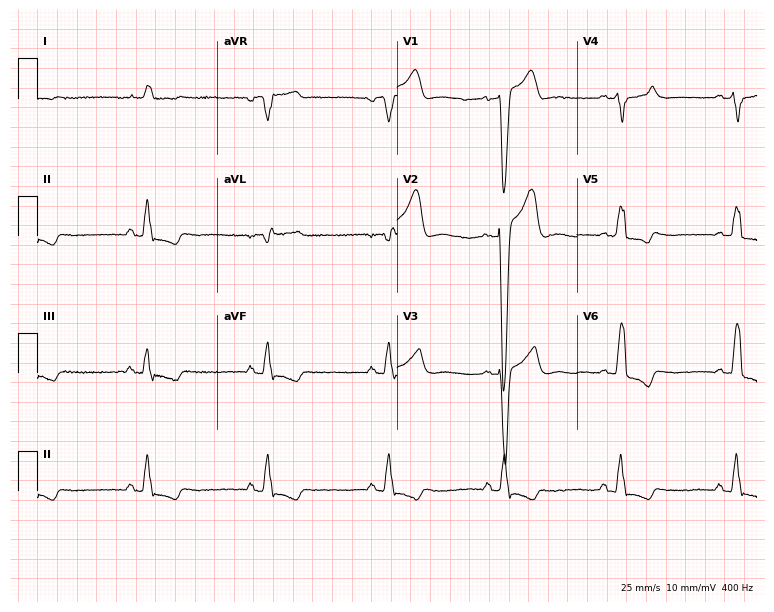
12-lead ECG from a male, 80 years old (7.3-second recording at 400 Hz). Shows left bundle branch block (LBBB).